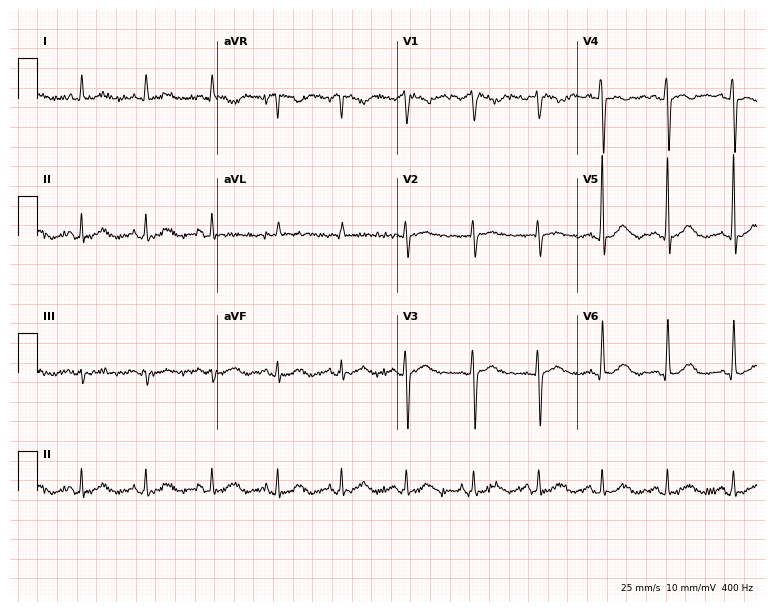
Electrocardiogram, a male, 41 years old. Overall reading on record: normal ECG.